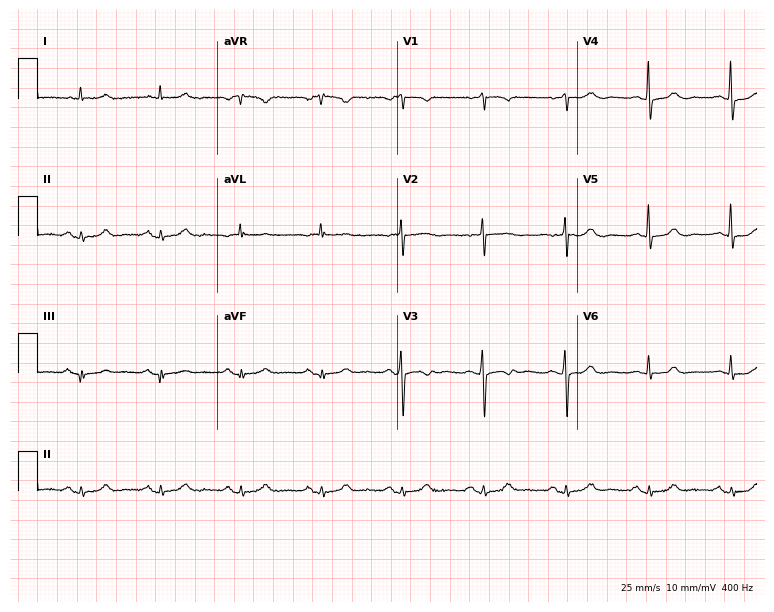
Electrocardiogram (7.3-second recording at 400 Hz), an 80-year-old woman. Of the six screened findings (first-degree AV block, right bundle branch block, left bundle branch block, sinus bradycardia, atrial fibrillation, sinus tachycardia), none is recorded. Findings outside these six are not listed.